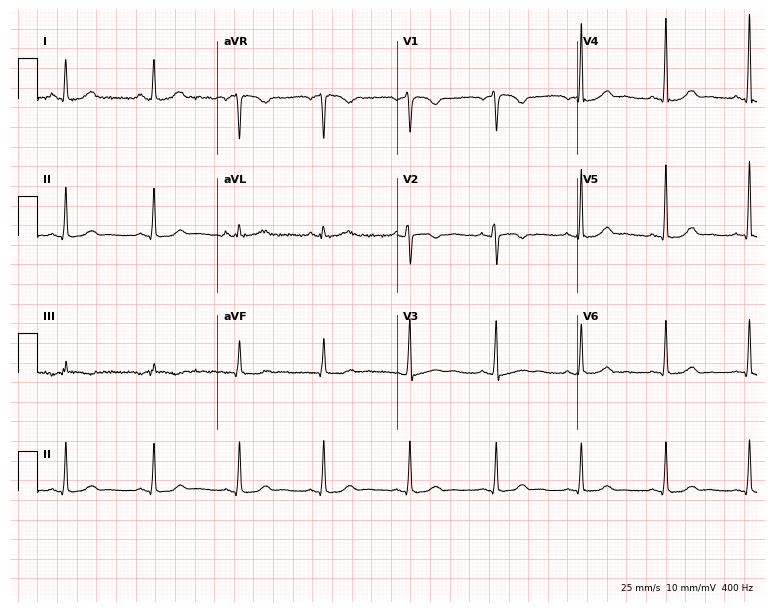
Resting 12-lead electrocardiogram (7.3-second recording at 400 Hz). Patient: a 48-year-old female. None of these six findings is recorded: first-degree AV block, right bundle branch block (RBBB), left bundle branch block (LBBB), sinus bradycardia, atrial fibrillation (AF), sinus tachycardia.